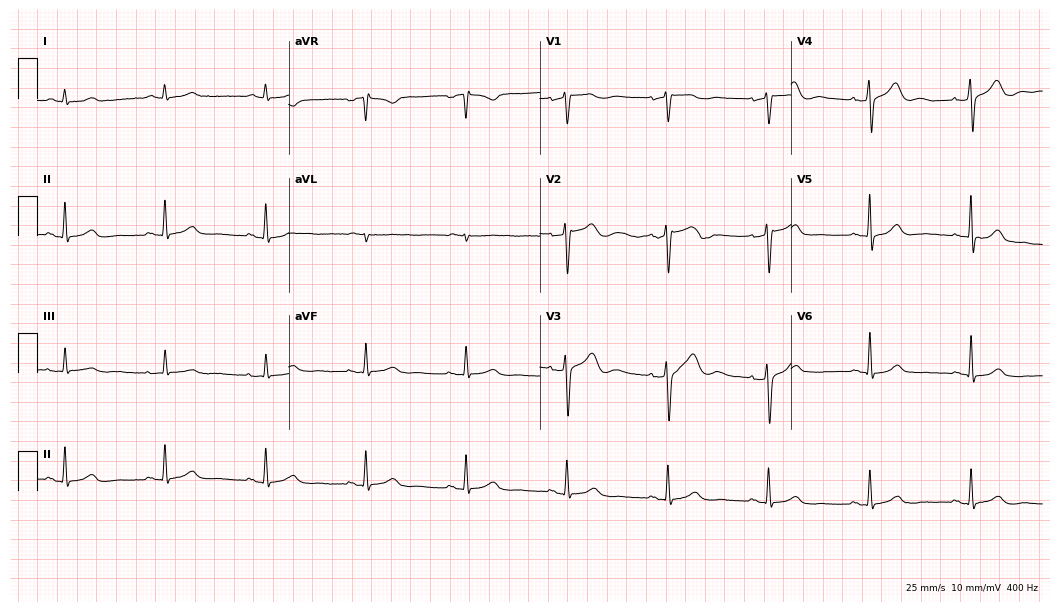
ECG — a man, 71 years old. Labelled as a normal ECG.